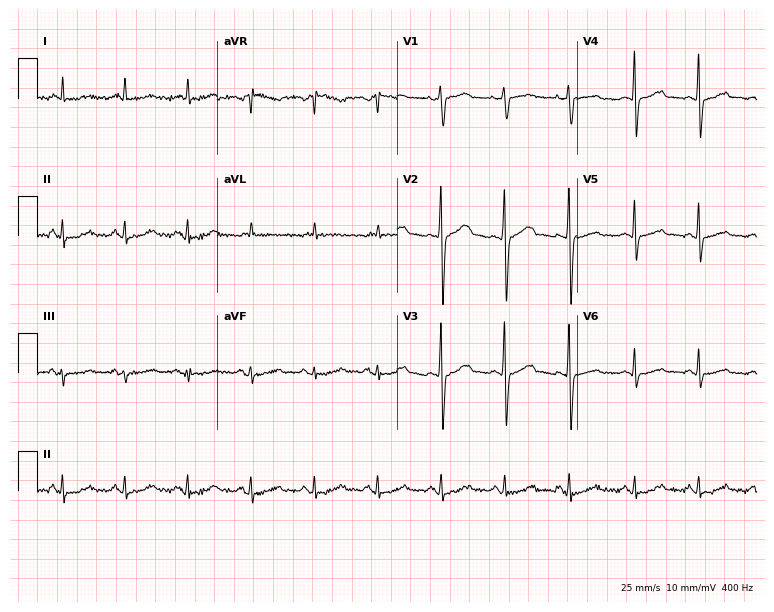
Electrocardiogram (7.3-second recording at 400 Hz), a 52-year-old woman. Of the six screened findings (first-degree AV block, right bundle branch block, left bundle branch block, sinus bradycardia, atrial fibrillation, sinus tachycardia), none is recorded.